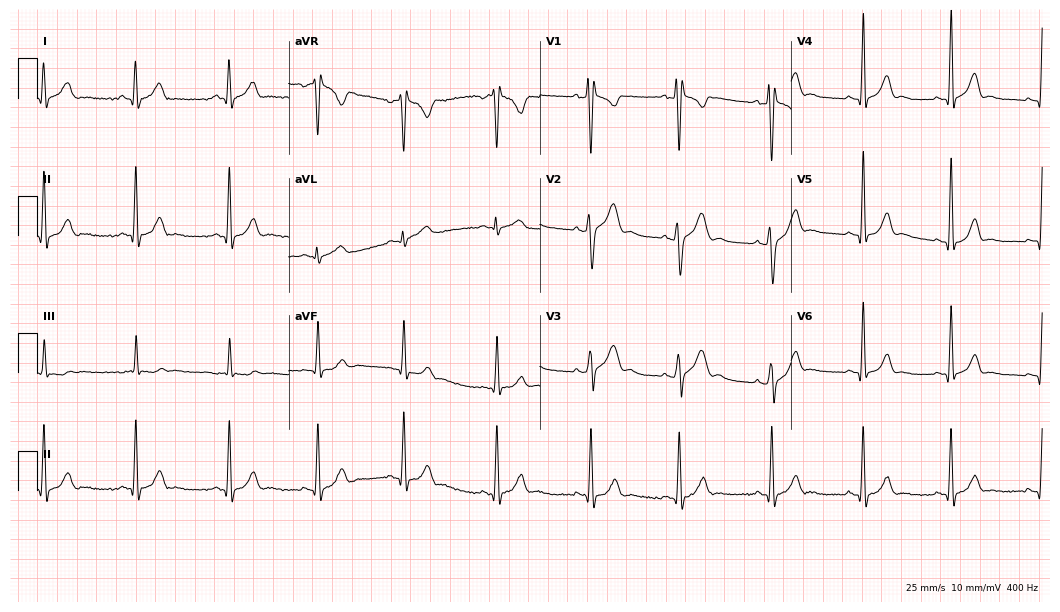
12-lead ECG (10.2-second recording at 400 Hz) from a 22-year-old male. Labelled as a normal ECG.